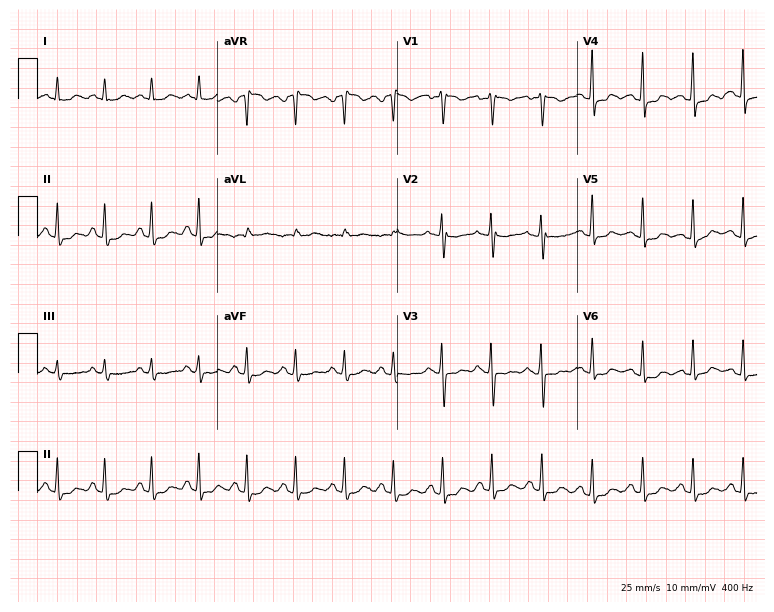
Standard 12-lead ECG recorded from a 41-year-old woman. The tracing shows sinus tachycardia (a sinus rate of 100 beats per minute or more).